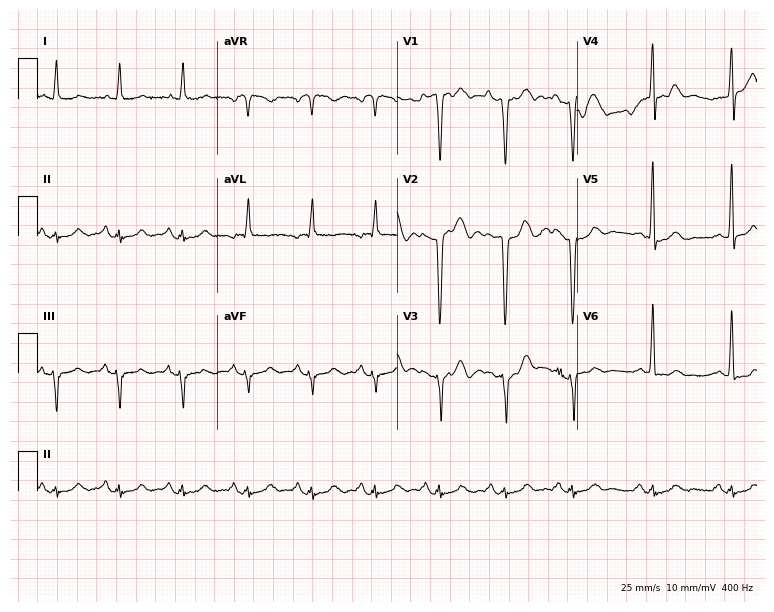
Resting 12-lead electrocardiogram. Patient: a 72-year-old male. None of these six findings is recorded: first-degree AV block, right bundle branch block, left bundle branch block, sinus bradycardia, atrial fibrillation, sinus tachycardia. Other findings, if any, are not listed.